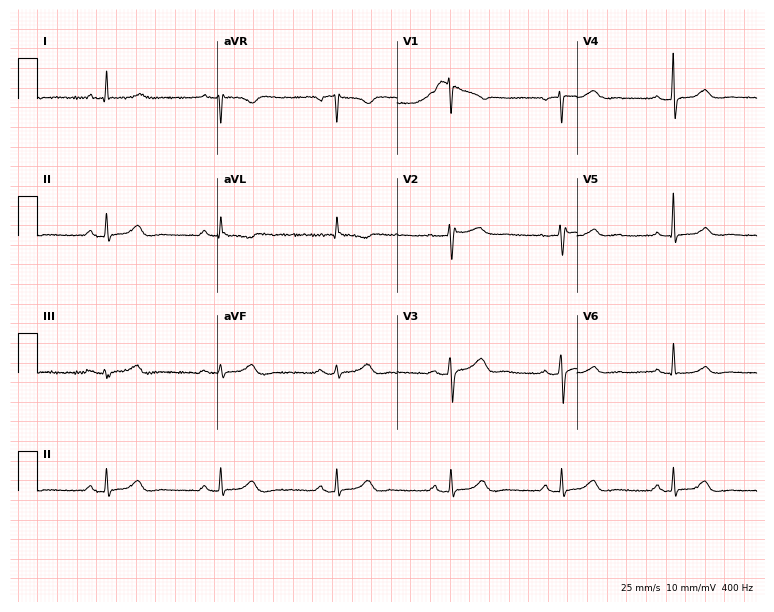
ECG — a 53-year-old female. Findings include sinus bradycardia (a sinus rate of 50 beats per minute or less).